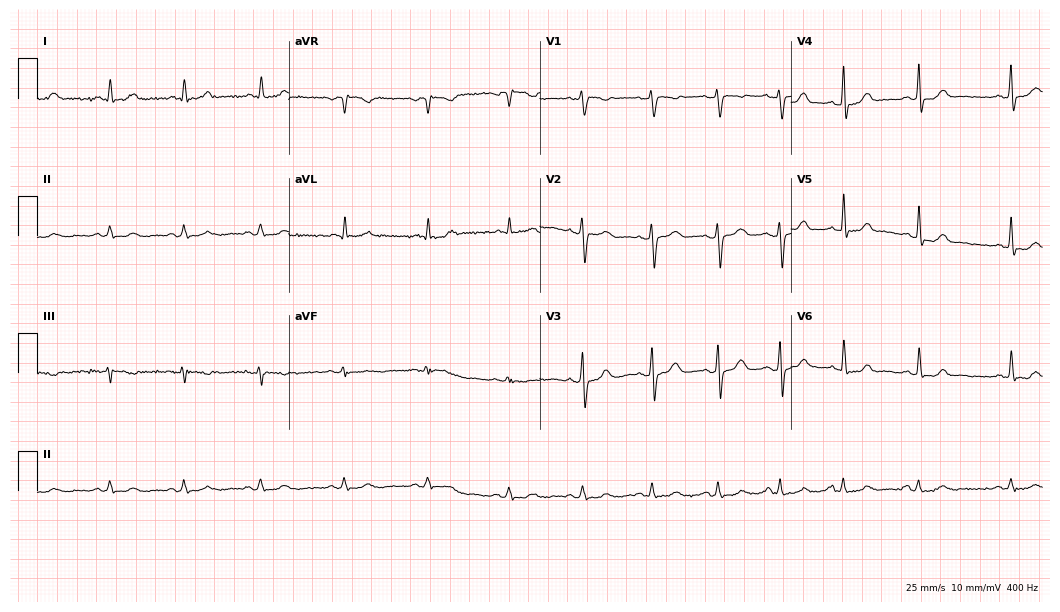
12-lead ECG (10.2-second recording at 400 Hz) from a woman, 46 years old. Labelled as a normal ECG.